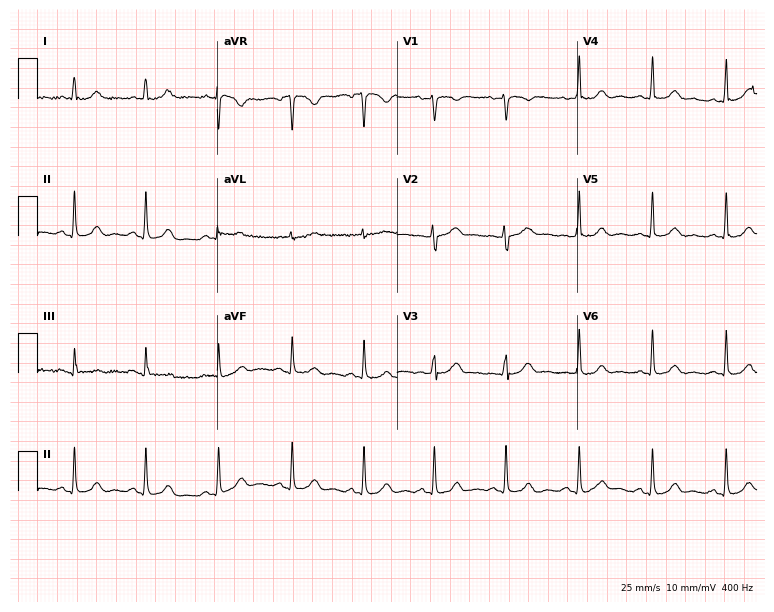
Resting 12-lead electrocardiogram (7.3-second recording at 400 Hz). Patient: a female, 41 years old. None of these six findings is recorded: first-degree AV block, right bundle branch block, left bundle branch block, sinus bradycardia, atrial fibrillation, sinus tachycardia. Only these six findings were labelled.